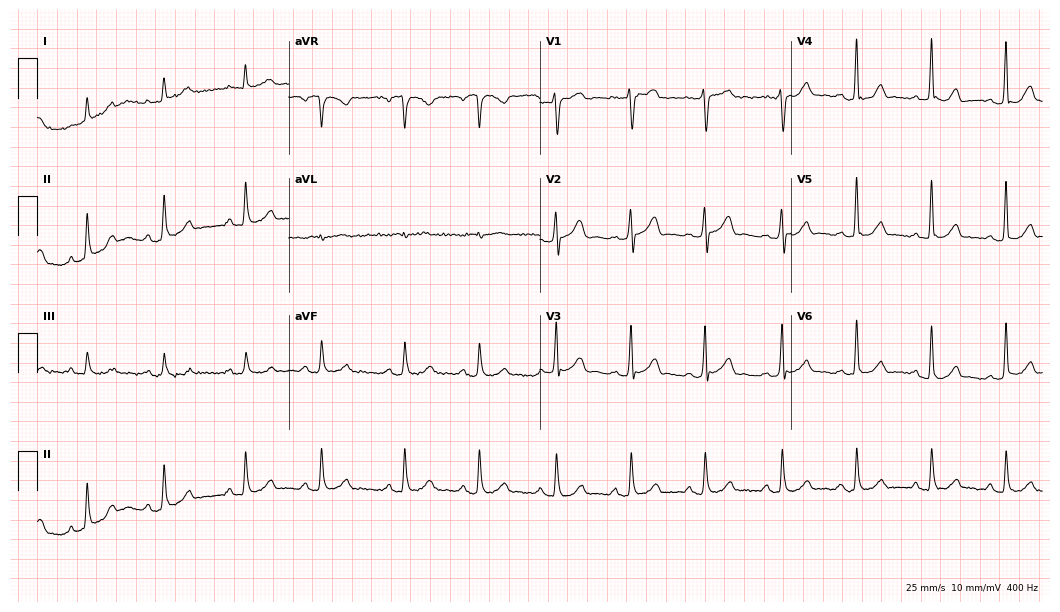
12-lead ECG from a 47-year-old man. Recorded interpretation: within normal limits.